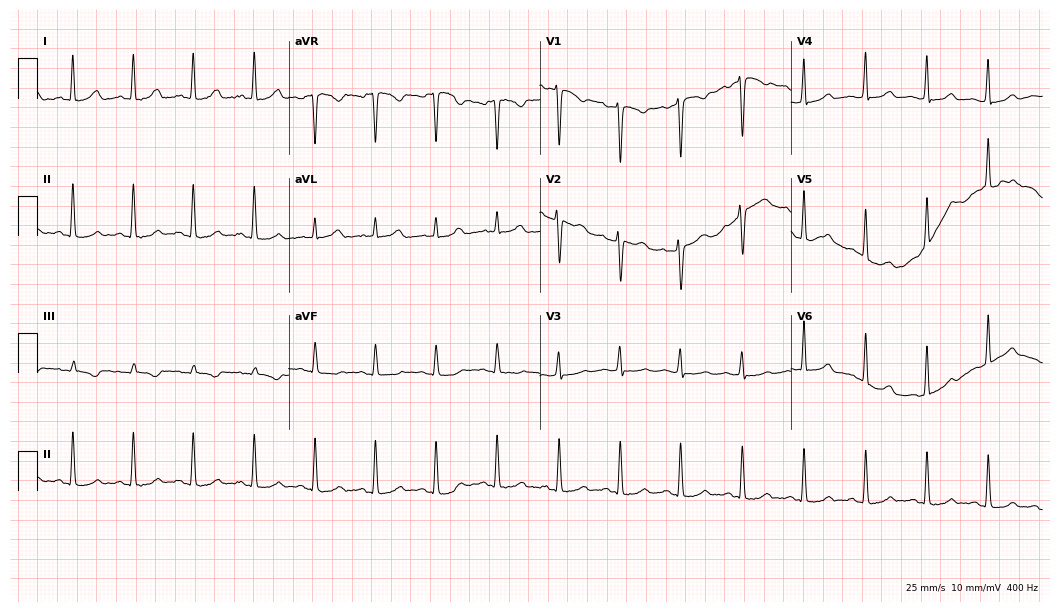
Electrocardiogram (10.2-second recording at 400 Hz), a woman, 36 years old. Of the six screened findings (first-degree AV block, right bundle branch block (RBBB), left bundle branch block (LBBB), sinus bradycardia, atrial fibrillation (AF), sinus tachycardia), none is recorded.